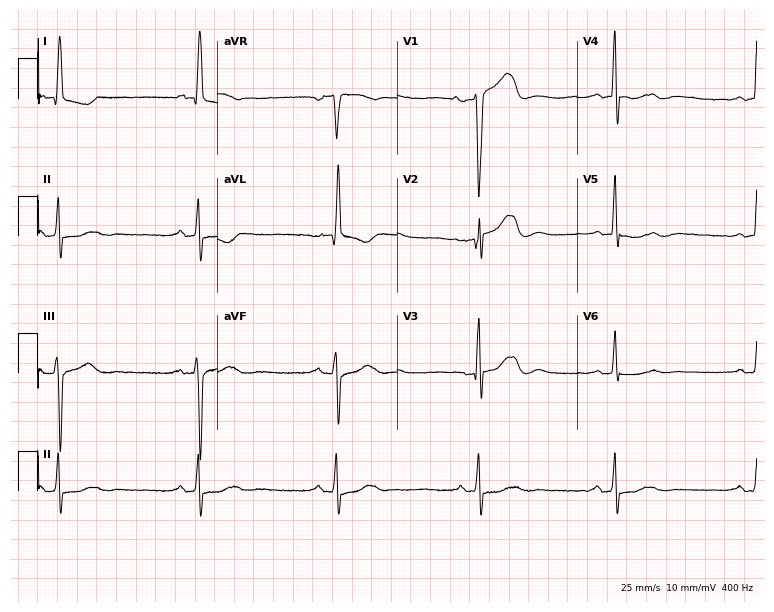
12-lead ECG (7.3-second recording at 400 Hz) from a woman, 71 years old. Findings include sinus bradycardia (a sinus rate of 50 beats per minute or less).